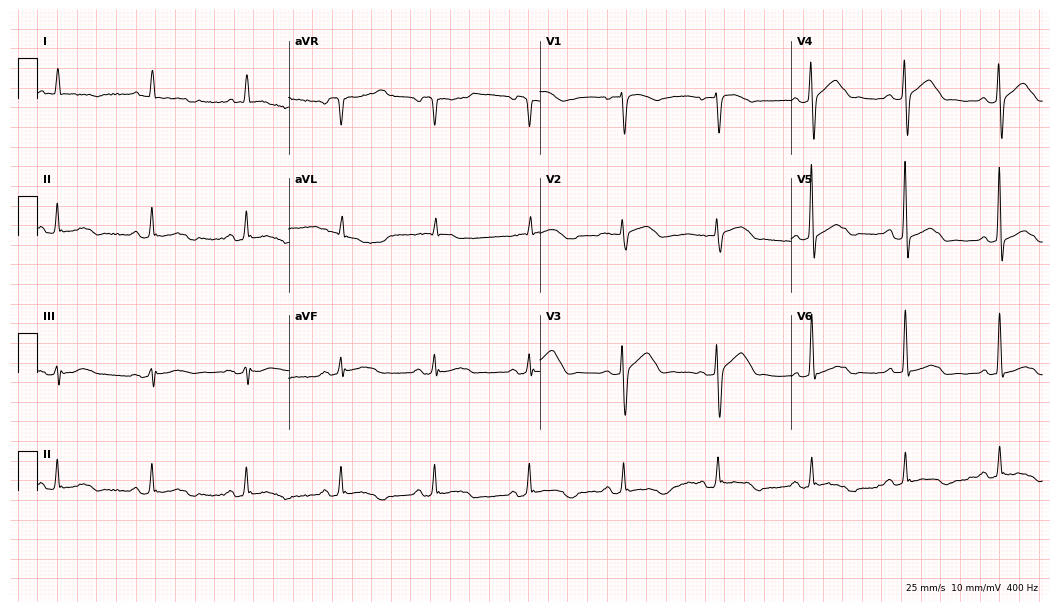
Electrocardiogram (10.2-second recording at 400 Hz), a female patient, 82 years old. Of the six screened findings (first-degree AV block, right bundle branch block (RBBB), left bundle branch block (LBBB), sinus bradycardia, atrial fibrillation (AF), sinus tachycardia), none is recorded. Findings outside these six are not listed.